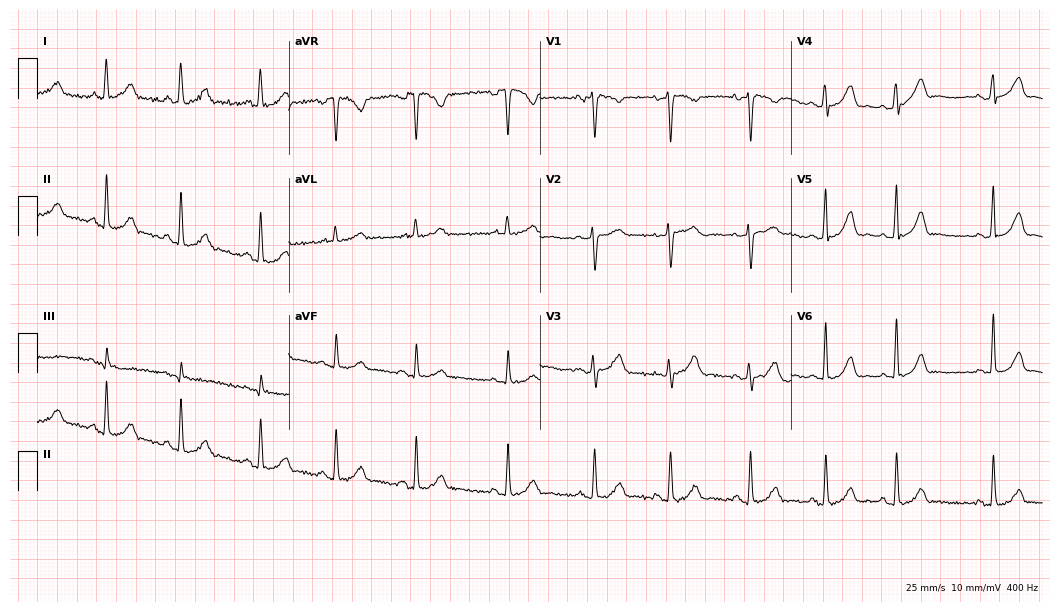
Standard 12-lead ECG recorded from a woman, 26 years old (10.2-second recording at 400 Hz). Read as a normal ECG.